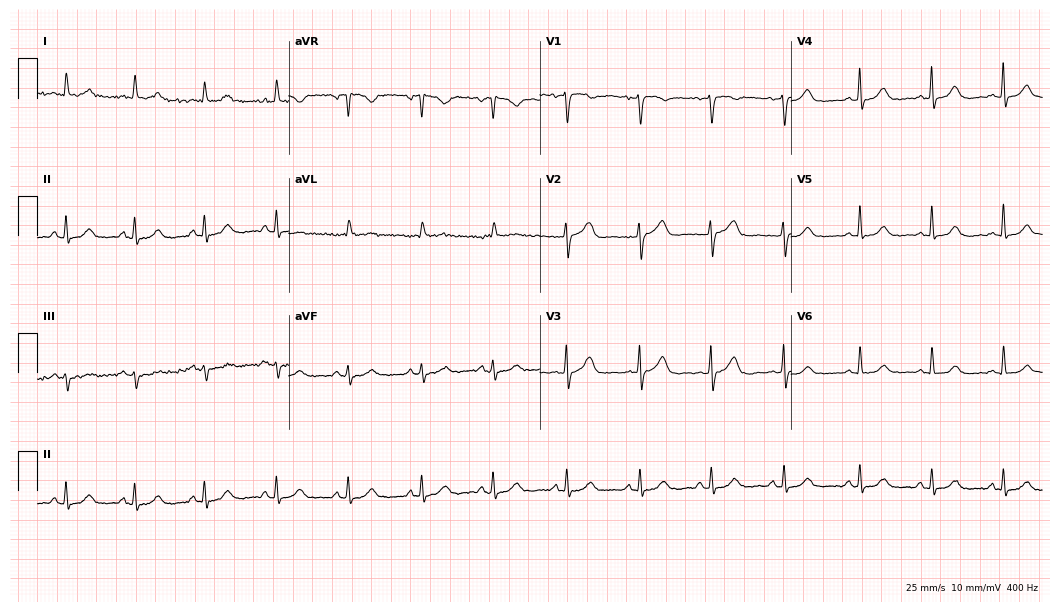
Resting 12-lead electrocardiogram (10.2-second recording at 400 Hz). Patient: a 76-year-old woman. Read as a normal ECG.